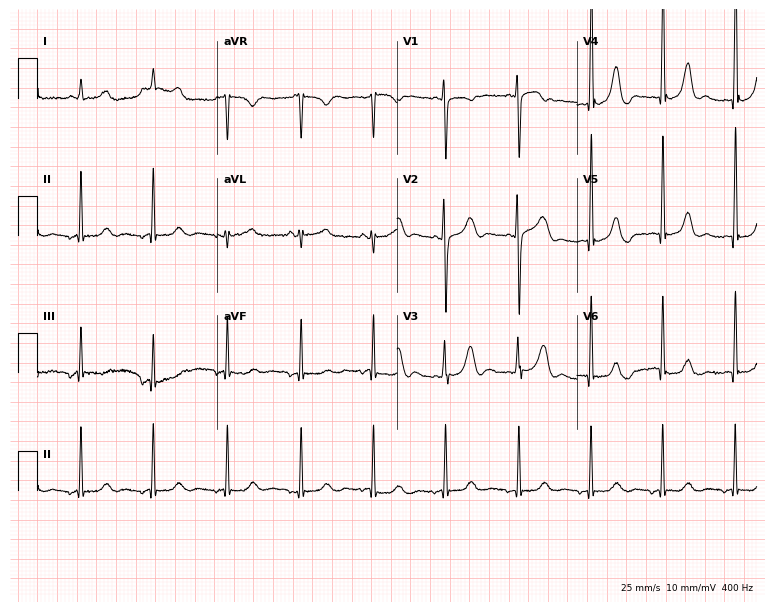
12-lead ECG from a woman, 32 years old. Labelled as a normal ECG.